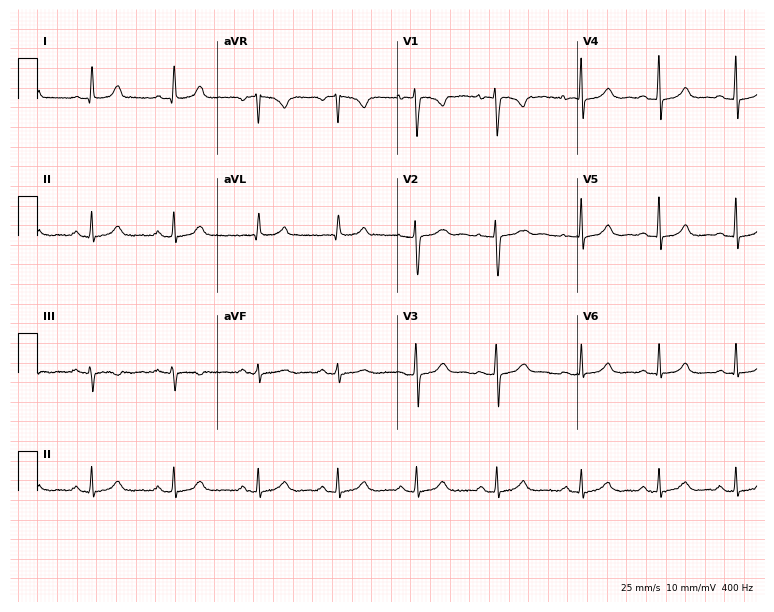
12-lead ECG from a 26-year-old woman (7.3-second recording at 400 Hz). Recorded interpretation: within normal limits.